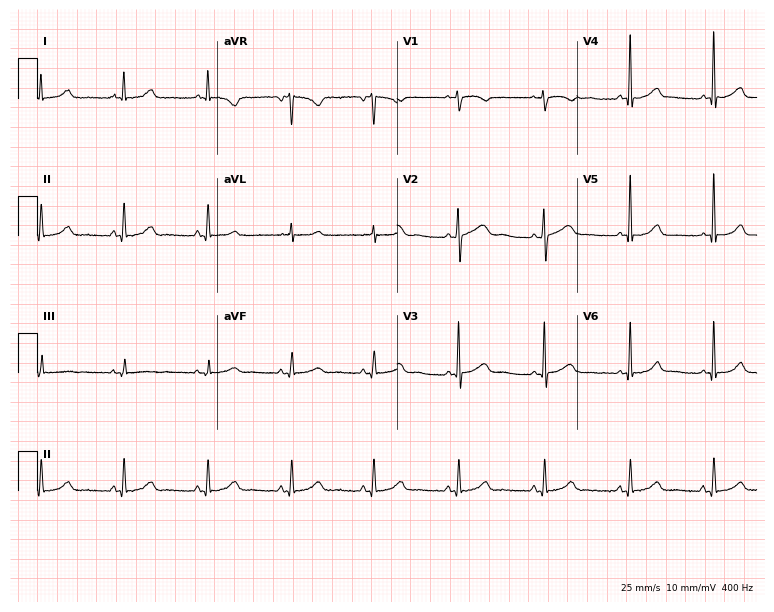
Standard 12-lead ECG recorded from a female patient, 48 years old (7.3-second recording at 400 Hz). Read as a normal ECG.